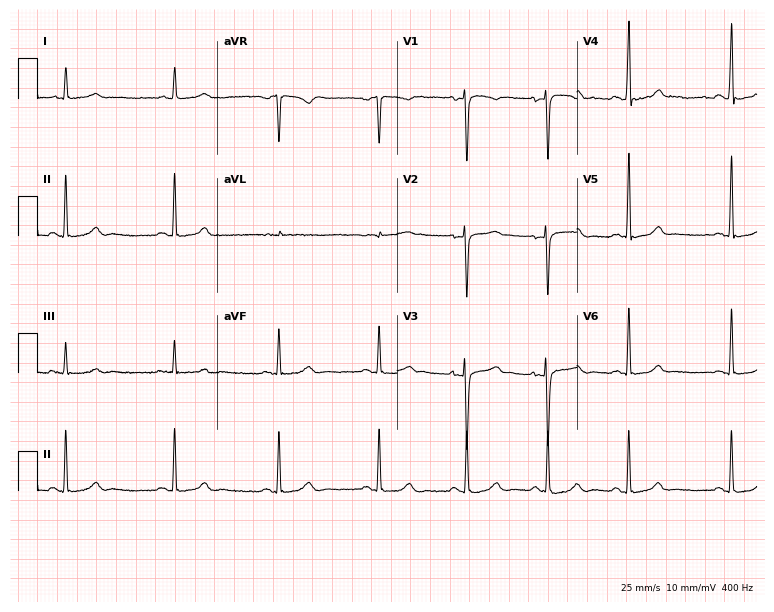
Standard 12-lead ECG recorded from a woman, 37 years old (7.3-second recording at 400 Hz). None of these six findings is recorded: first-degree AV block, right bundle branch block (RBBB), left bundle branch block (LBBB), sinus bradycardia, atrial fibrillation (AF), sinus tachycardia. Findings outside these six are not listed.